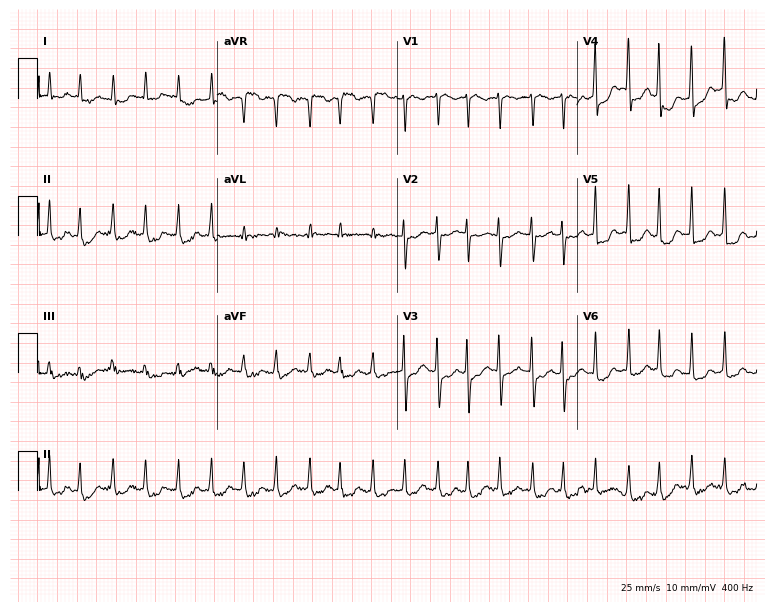
ECG — a 55-year-old woman. Findings include atrial fibrillation, sinus tachycardia (a sinus rate of 100 beats per minute or more).